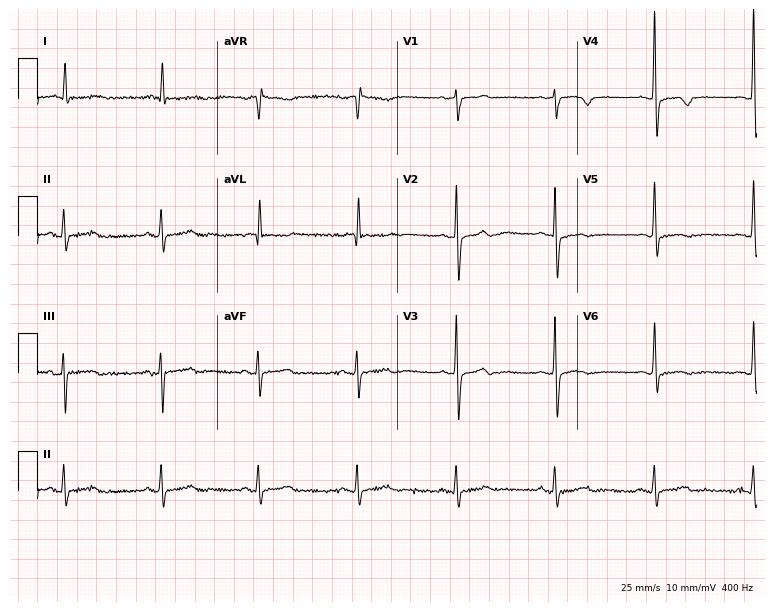
12-lead ECG from a male, 83 years old. Recorded interpretation: within normal limits.